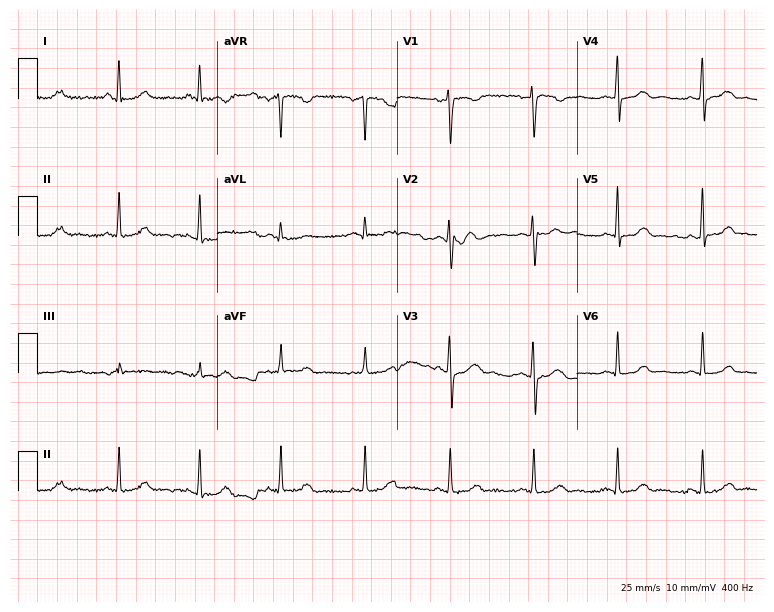
Resting 12-lead electrocardiogram (7.3-second recording at 400 Hz). Patient: a 41-year-old female. Read as a normal ECG.